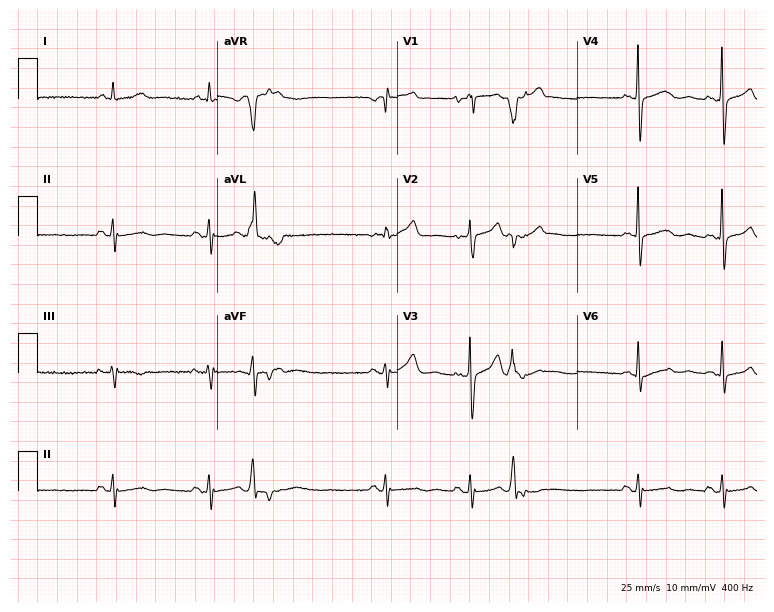
Electrocardiogram, a female patient, 65 years old. Of the six screened findings (first-degree AV block, right bundle branch block, left bundle branch block, sinus bradycardia, atrial fibrillation, sinus tachycardia), none is recorded.